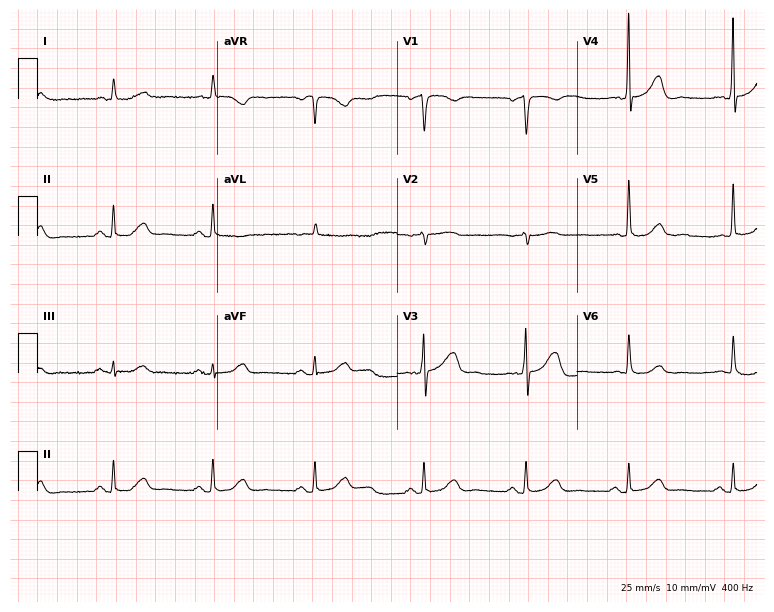
Standard 12-lead ECG recorded from an 80-year-old male patient (7.3-second recording at 400 Hz). Read as a normal ECG.